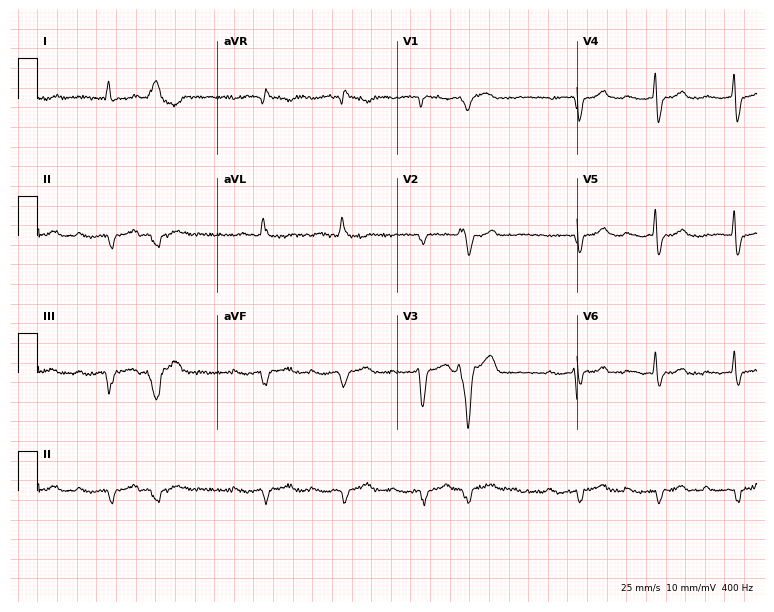
ECG (7.3-second recording at 400 Hz) — an 82-year-old female patient. Screened for six findings — first-degree AV block, right bundle branch block, left bundle branch block, sinus bradycardia, atrial fibrillation, sinus tachycardia — none is recorded. Other findings, if any, are not listed.